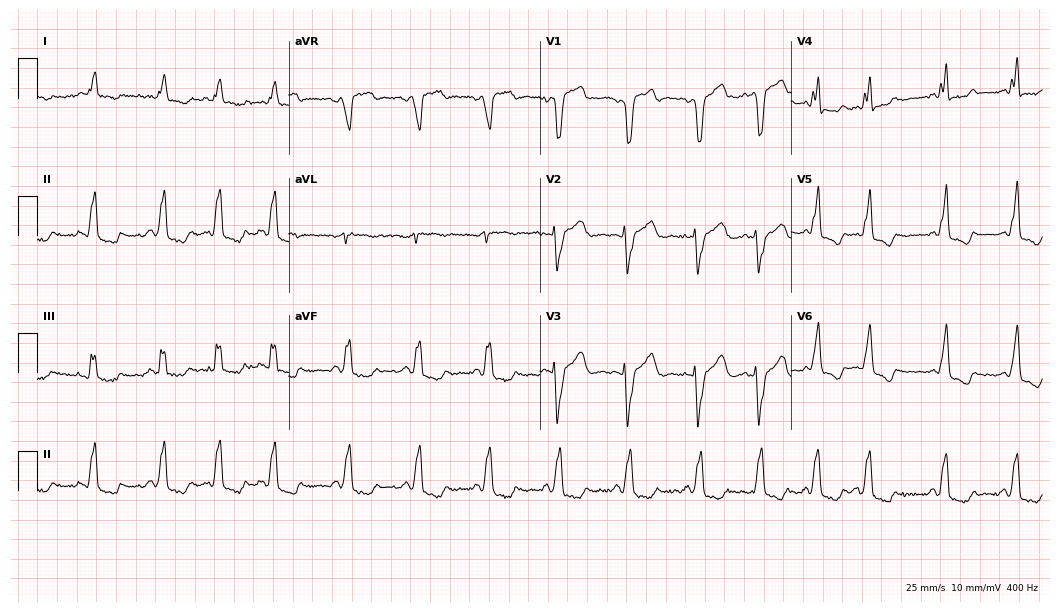
Resting 12-lead electrocardiogram (10.2-second recording at 400 Hz). Patient: a 67-year-old male. The tracing shows left bundle branch block.